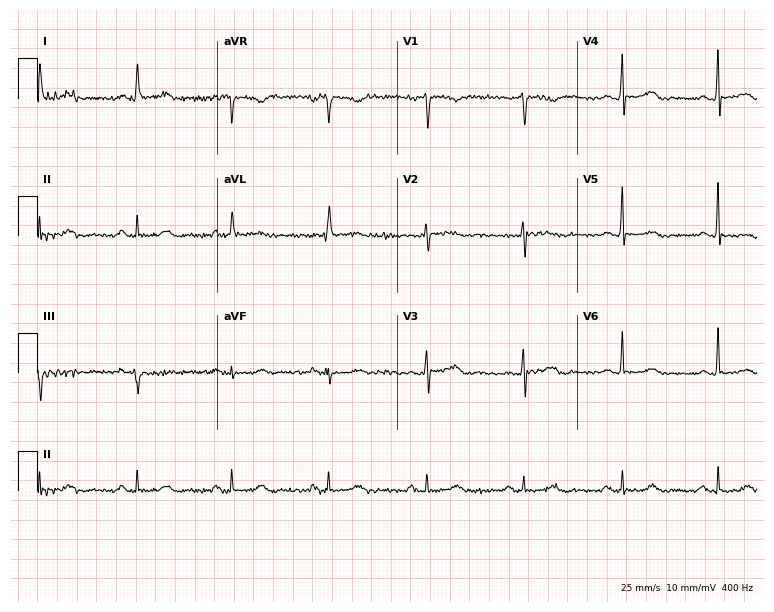
12-lead ECG (7.3-second recording at 400 Hz) from a 73-year-old female. Screened for six findings — first-degree AV block, right bundle branch block, left bundle branch block, sinus bradycardia, atrial fibrillation, sinus tachycardia — none is recorded. Only these six findings were labelled.